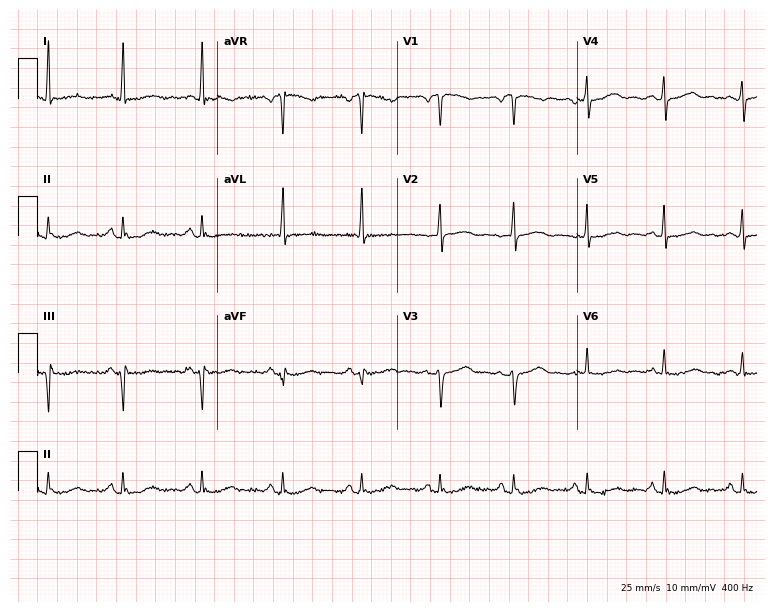
12-lead ECG from a 67-year-old woman (7.3-second recording at 400 Hz). No first-degree AV block, right bundle branch block, left bundle branch block, sinus bradycardia, atrial fibrillation or sinus tachycardia recorded for this tracing. Findings outside these six are not listed.